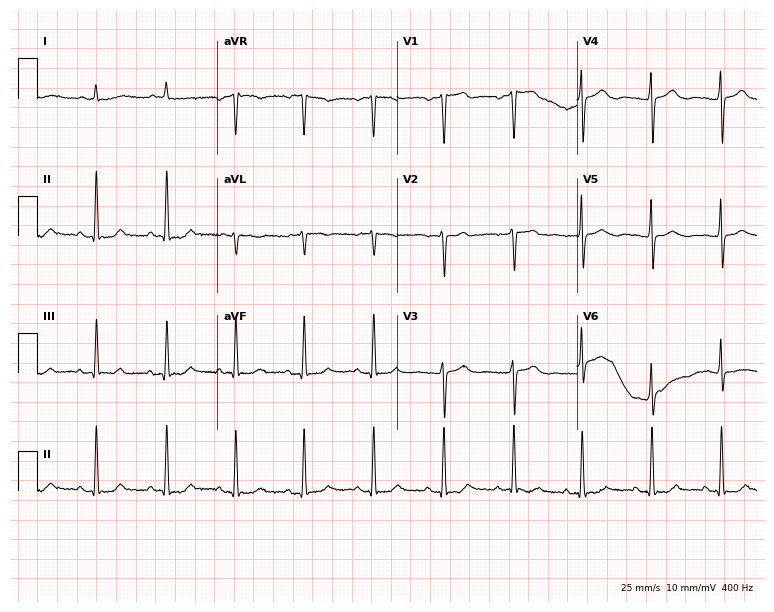
ECG (7.3-second recording at 400 Hz) — a male, 68 years old. Screened for six findings — first-degree AV block, right bundle branch block, left bundle branch block, sinus bradycardia, atrial fibrillation, sinus tachycardia — none is recorded. Findings outside these six are not listed.